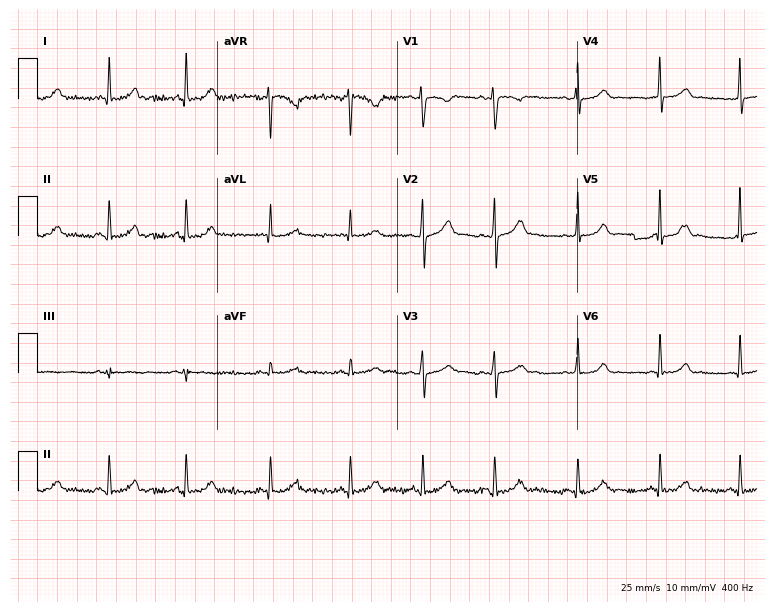
Standard 12-lead ECG recorded from a 33-year-old woman. None of these six findings is recorded: first-degree AV block, right bundle branch block (RBBB), left bundle branch block (LBBB), sinus bradycardia, atrial fibrillation (AF), sinus tachycardia.